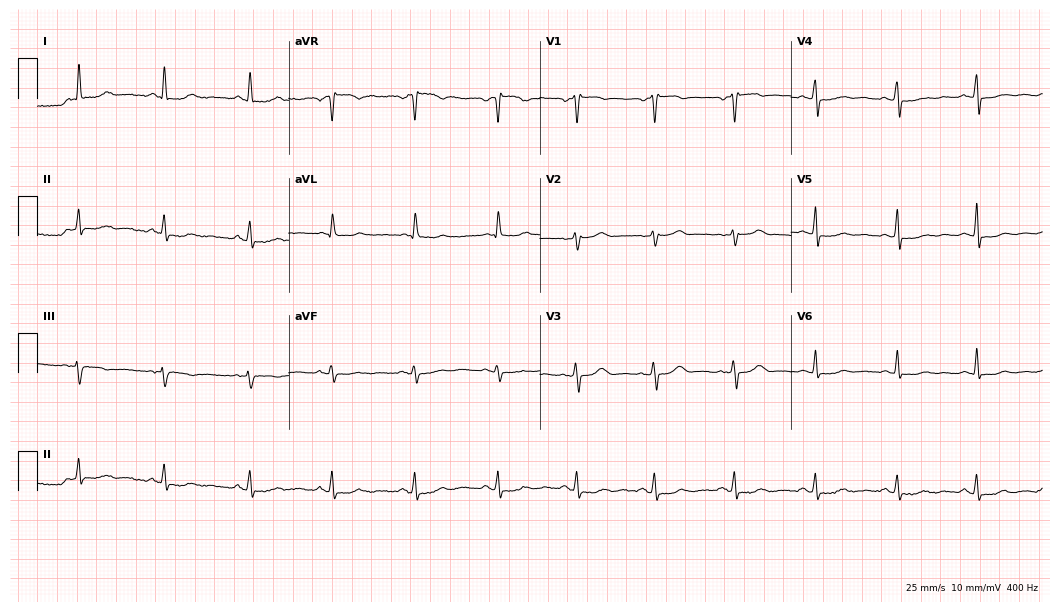
12-lead ECG (10.2-second recording at 400 Hz) from a female, 52 years old. Labelled as a normal ECG.